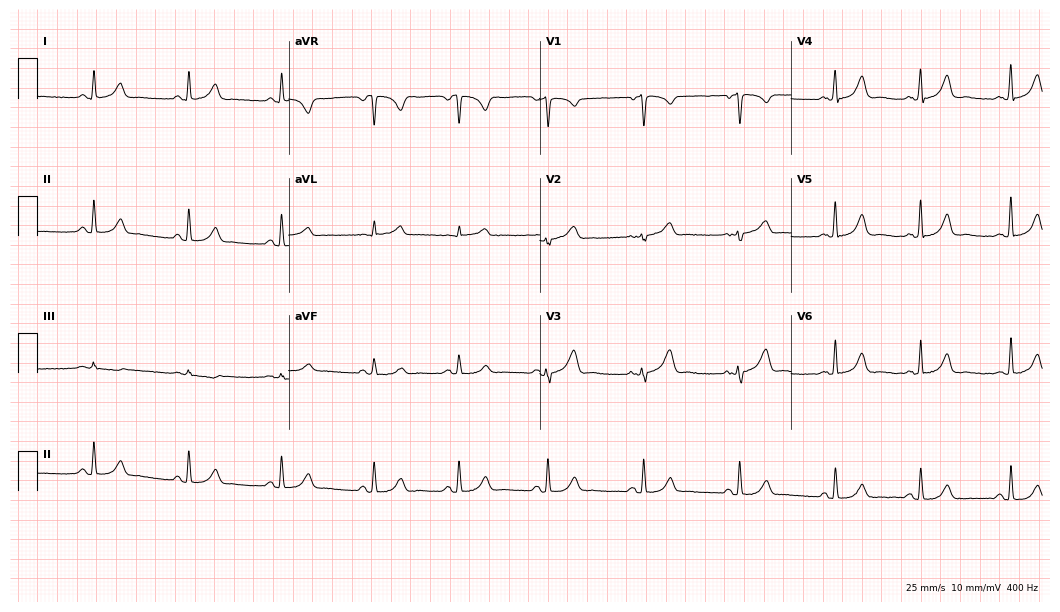
Resting 12-lead electrocardiogram (10.2-second recording at 400 Hz). Patient: a female, 39 years old. Read as a normal ECG.